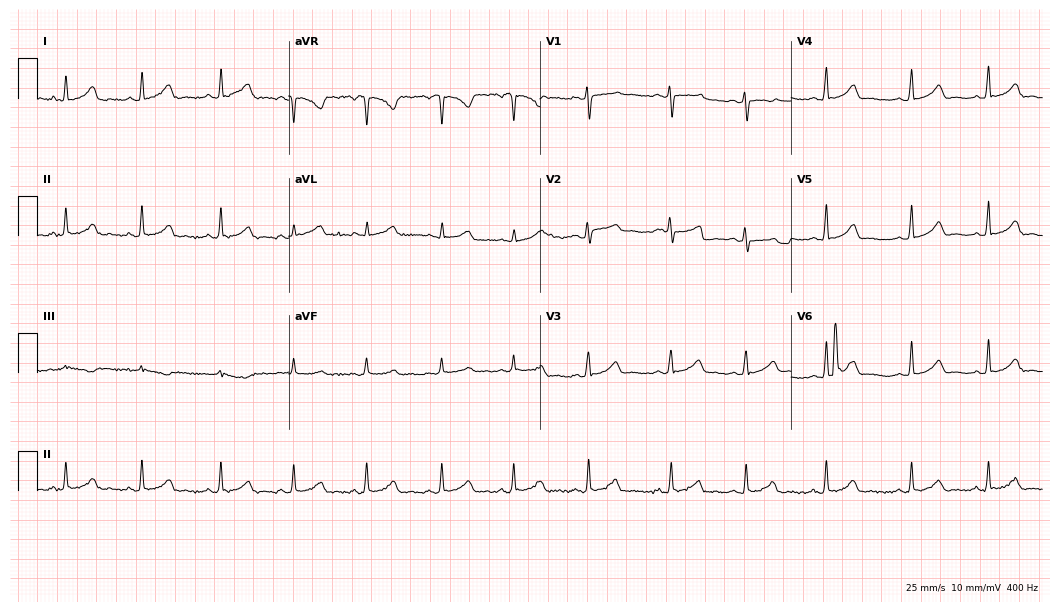
ECG — a 33-year-old female patient. Screened for six findings — first-degree AV block, right bundle branch block (RBBB), left bundle branch block (LBBB), sinus bradycardia, atrial fibrillation (AF), sinus tachycardia — none is recorded. Other findings, if any, are not listed.